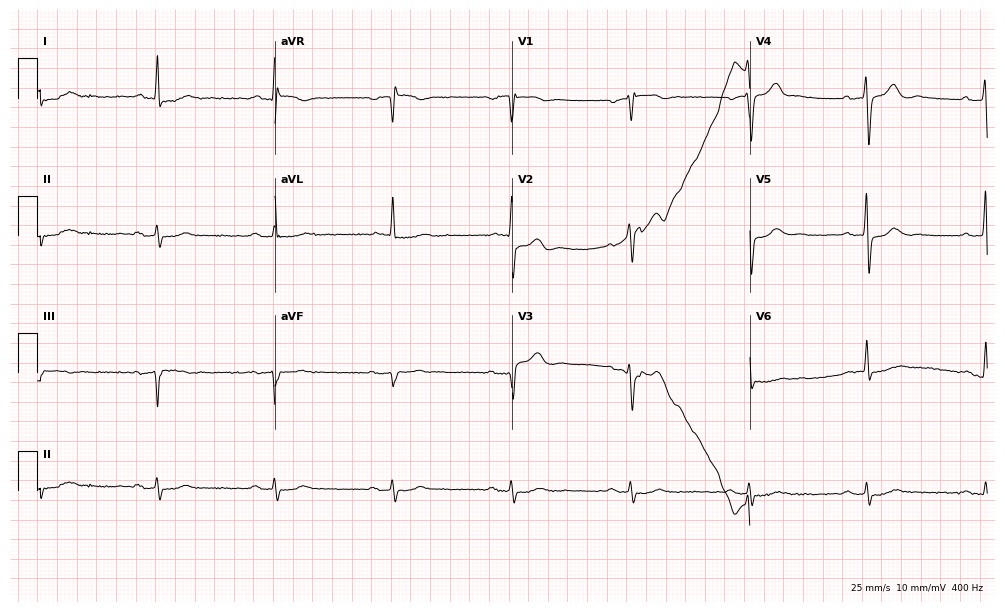
Resting 12-lead electrocardiogram. Patient: an 82-year-old male. None of these six findings is recorded: first-degree AV block, right bundle branch block, left bundle branch block, sinus bradycardia, atrial fibrillation, sinus tachycardia. Other findings, if any, are not listed.